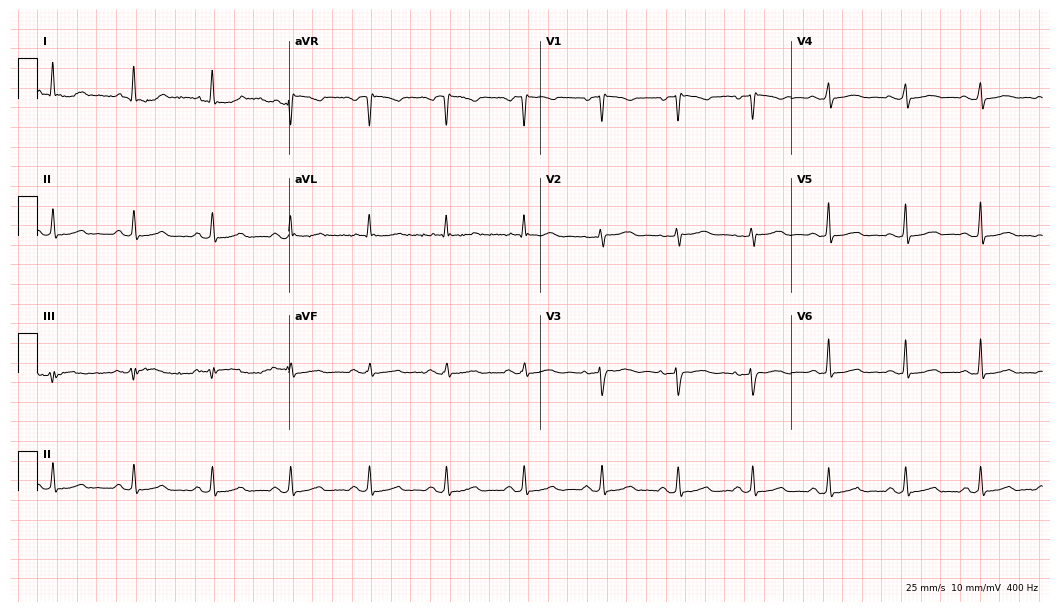
Standard 12-lead ECG recorded from a 33-year-old man. None of these six findings is recorded: first-degree AV block, right bundle branch block (RBBB), left bundle branch block (LBBB), sinus bradycardia, atrial fibrillation (AF), sinus tachycardia.